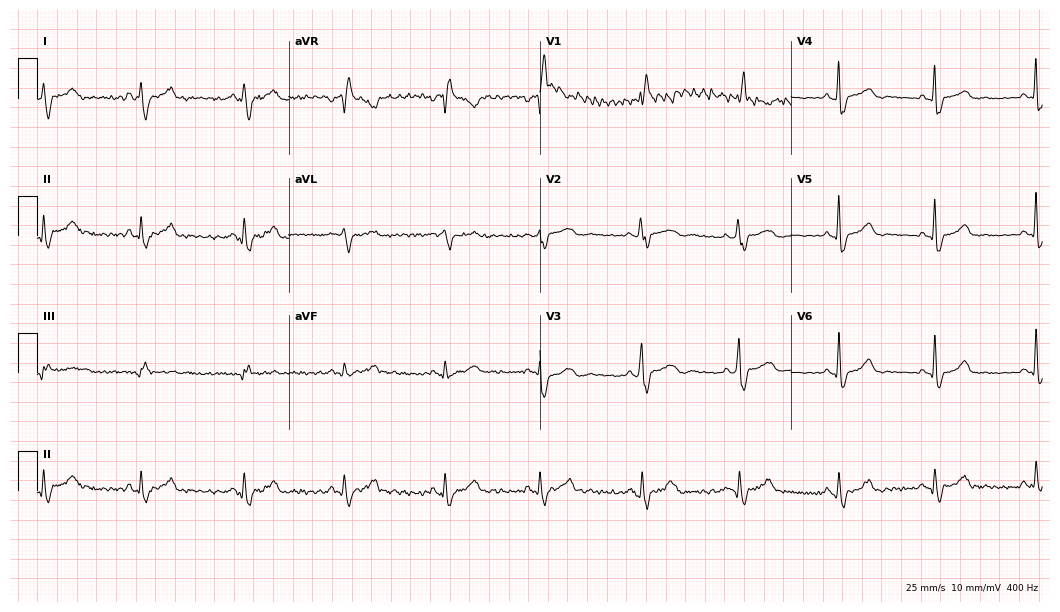
Electrocardiogram (10.2-second recording at 400 Hz), a 32-year-old female. Interpretation includes right bundle branch block (RBBB).